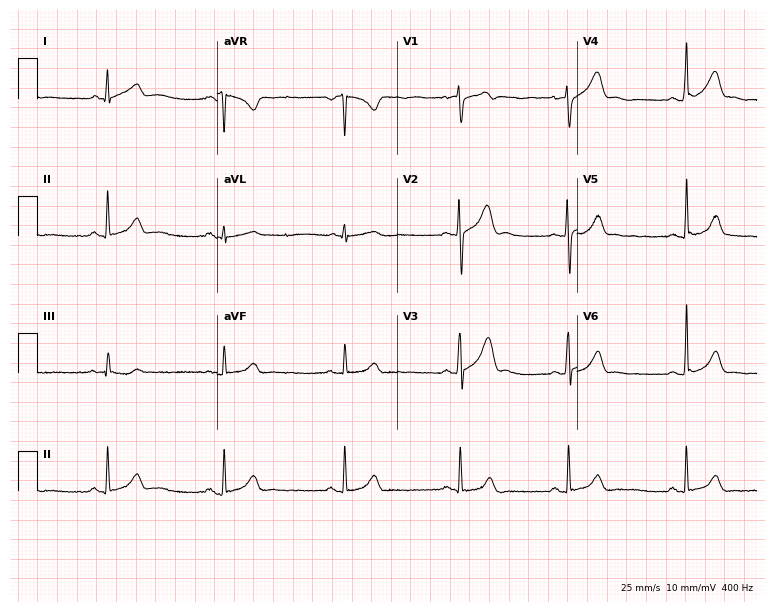
Resting 12-lead electrocardiogram (7.3-second recording at 400 Hz). Patient: a male, 18 years old. The tracing shows sinus bradycardia (a sinus rate of 50 beats per minute or less).